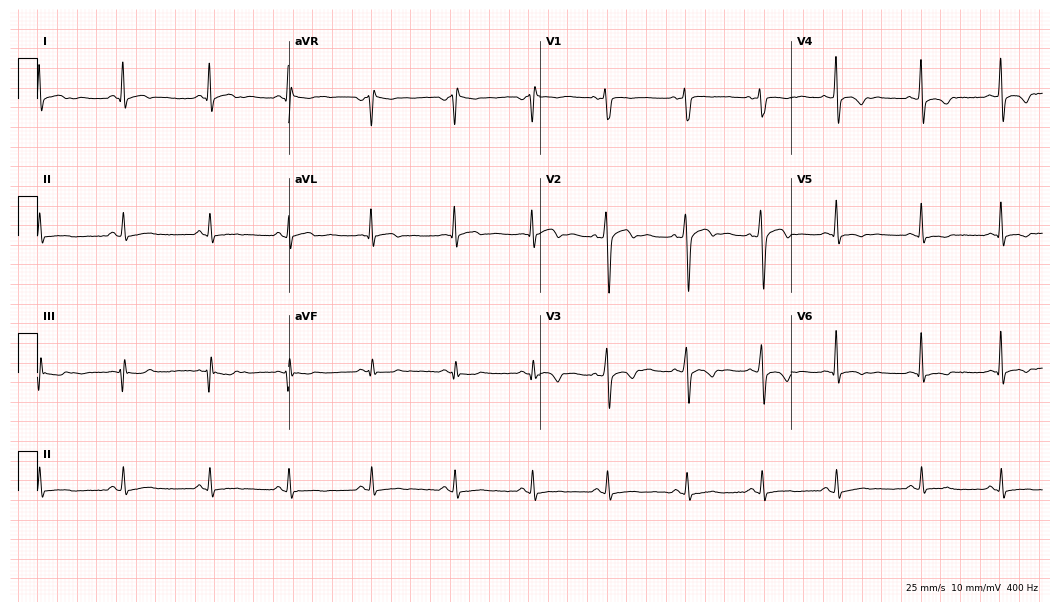
Resting 12-lead electrocardiogram. Patient: a male, 36 years old. None of these six findings is recorded: first-degree AV block, right bundle branch block, left bundle branch block, sinus bradycardia, atrial fibrillation, sinus tachycardia. Findings outside these six are not listed.